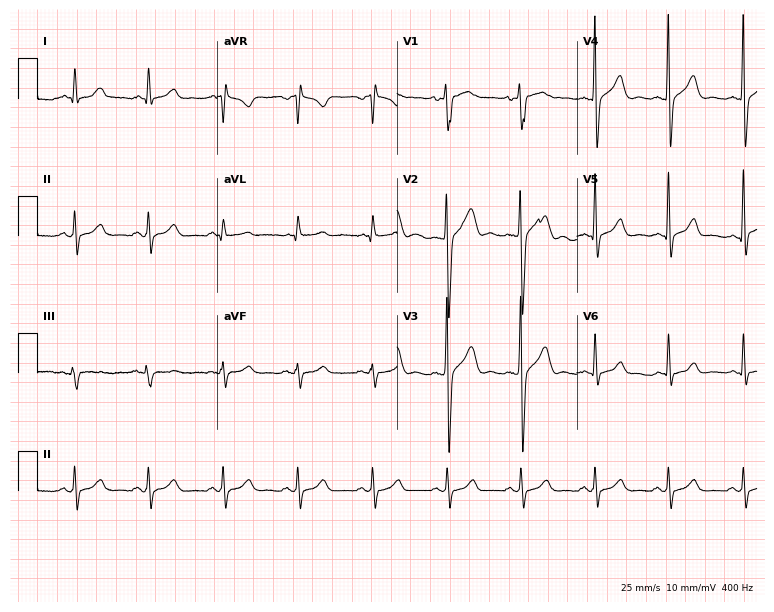
12-lead ECG from a male, 43 years old (7.3-second recording at 400 Hz). Recorded interpretation: within normal limits.